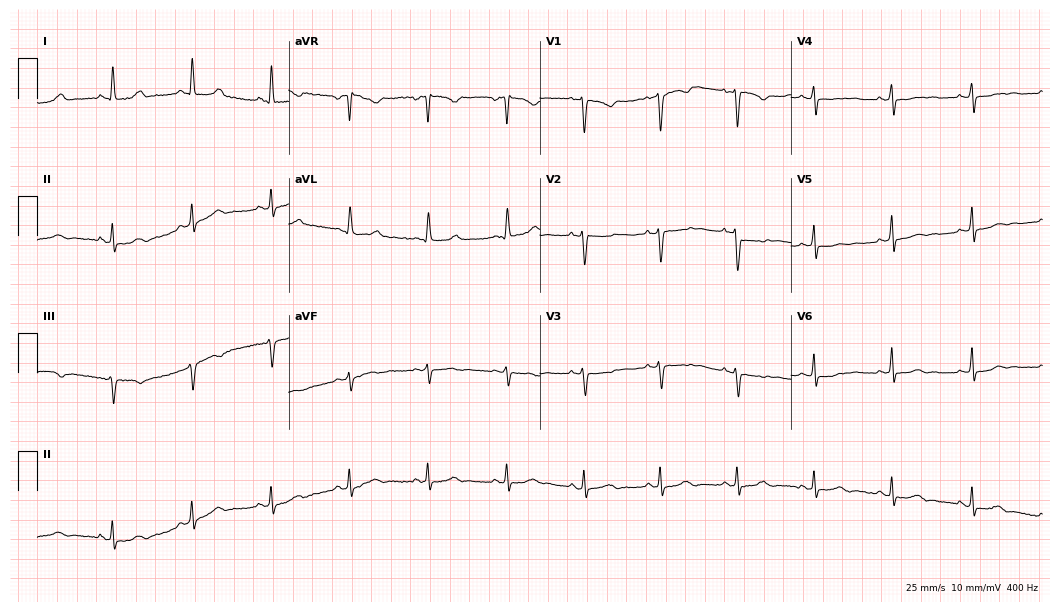
ECG (10.2-second recording at 400 Hz) — a 44-year-old woman. Labelled as a normal ECG.